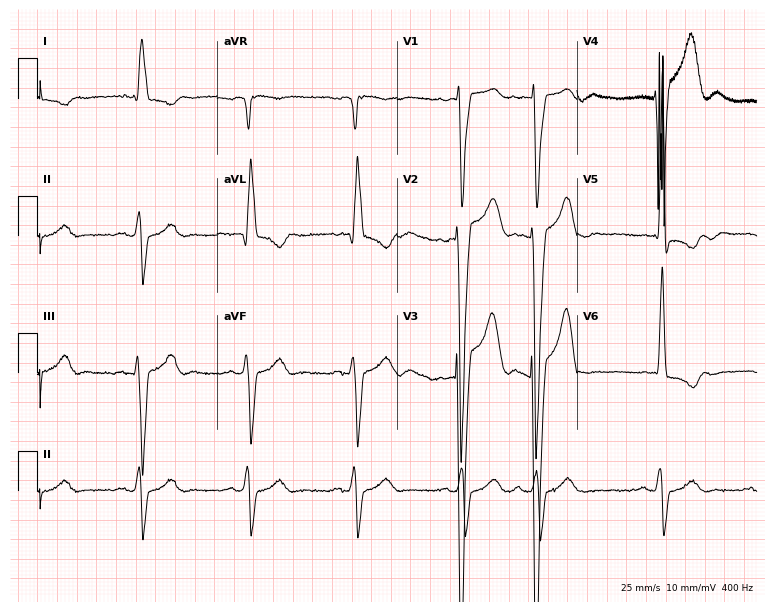
Standard 12-lead ECG recorded from an 85-year-old male patient. The tracing shows left bundle branch block (LBBB).